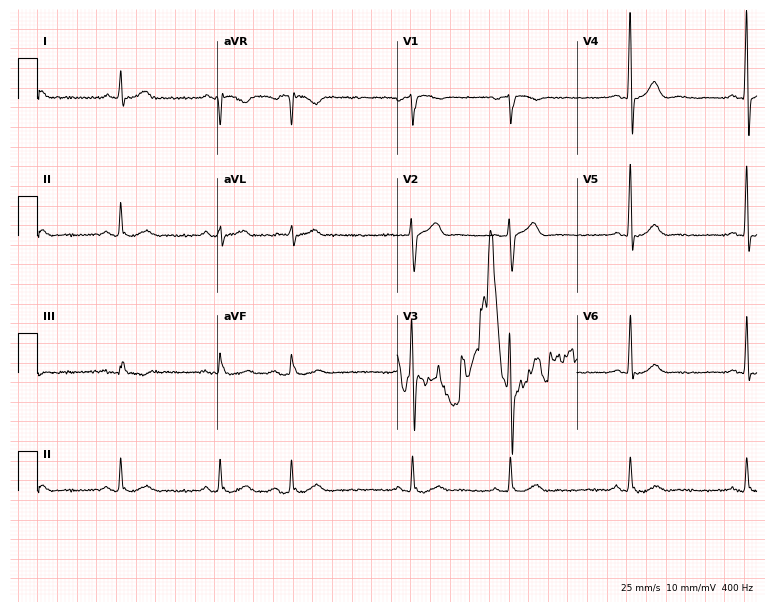
ECG — a 68-year-old man. Screened for six findings — first-degree AV block, right bundle branch block (RBBB), left bundle branch block (LBBB), sinus bradycardia, atrial fibrillation (AF), sinus tachycardia — none is recorded.